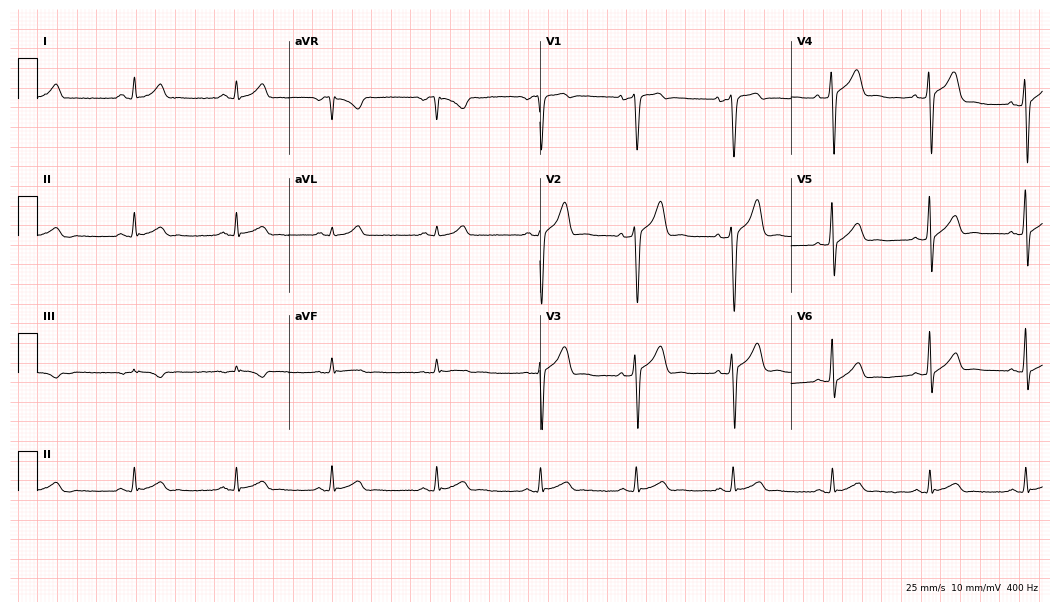
ECG — a male patient, 24 years old. Labelled as a normal ECG.